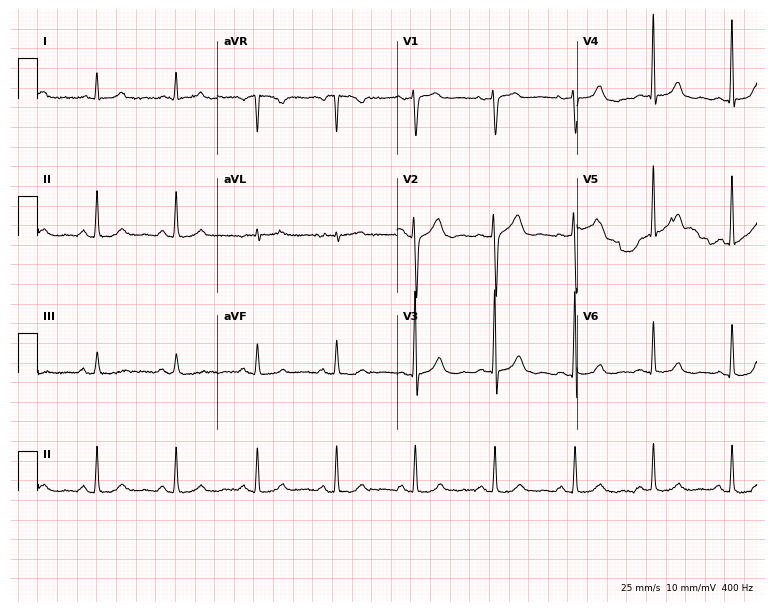
Electrocardiogram (7.3-second recording at 400 Hz), a 63-year-old female. Overall reading on record: normal ECG.